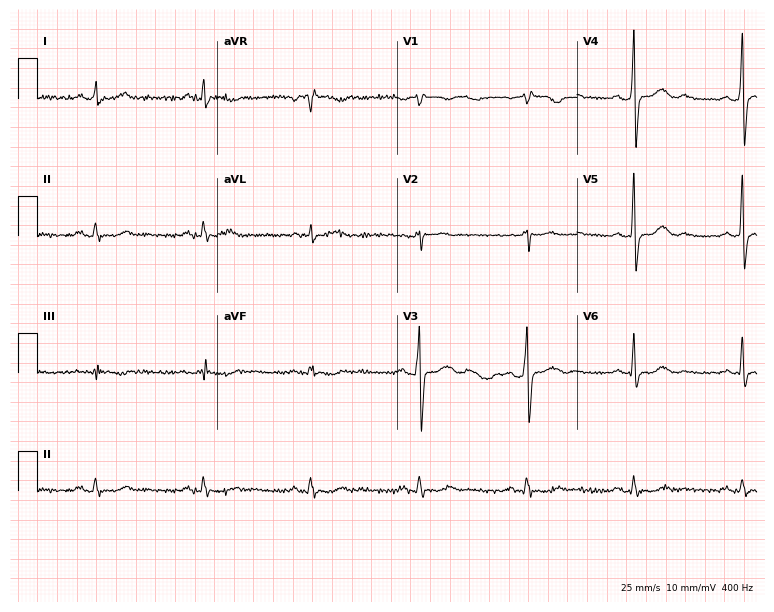
12-lead ECG from a man, 60 years old (7.3-second recording at 400 Hz). Recorded interpretation: within normal limits.